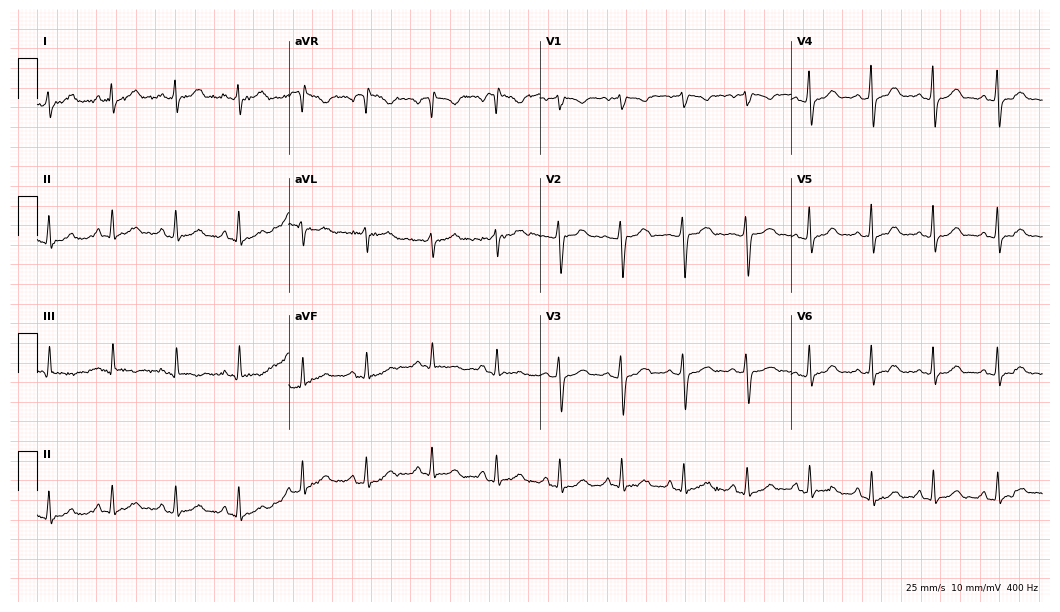
12-lead ECG from a female patient, 28 years old (10.2-second recording at 400 Hz). Recorded interpretation: within normal limits.